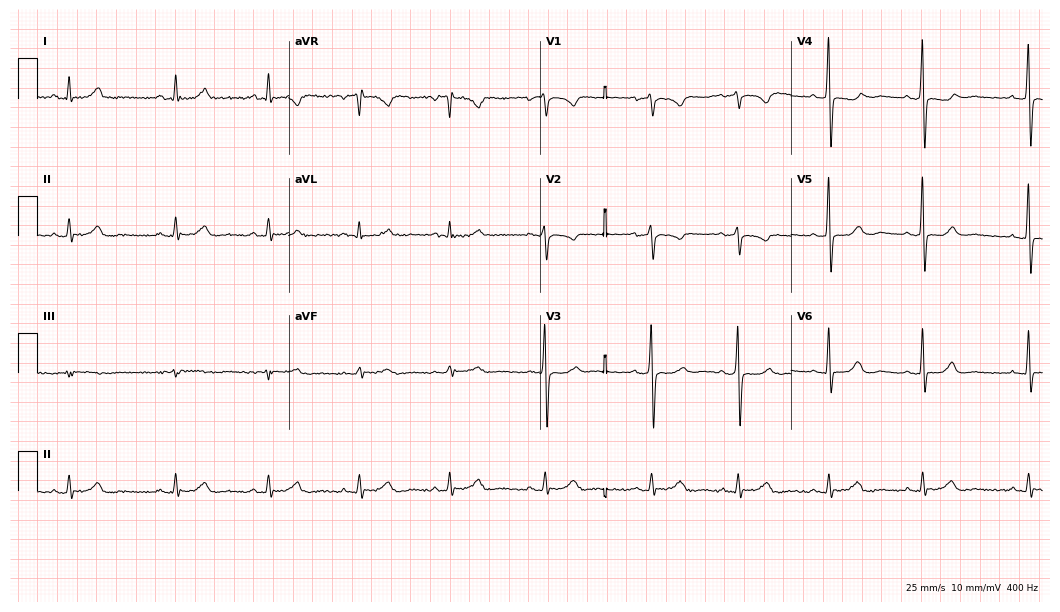
Electrocardiogram (10.2-second recording at 400 Hz), a 50-year-old female. Of the six screened findings (first-degree AV block, right bundle branch block, left bundle branch block, sinus bradycardia, atrial fibrillation, sinus tachycardia), none is recorded. Other findings, if any, are not listed.